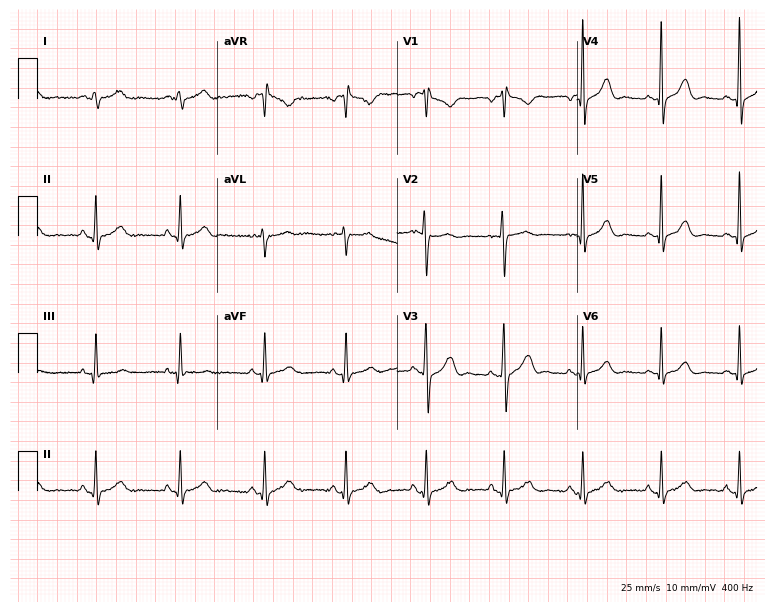
12-lead ECG from a 30-year-old man. Labelled as a normal ECG.